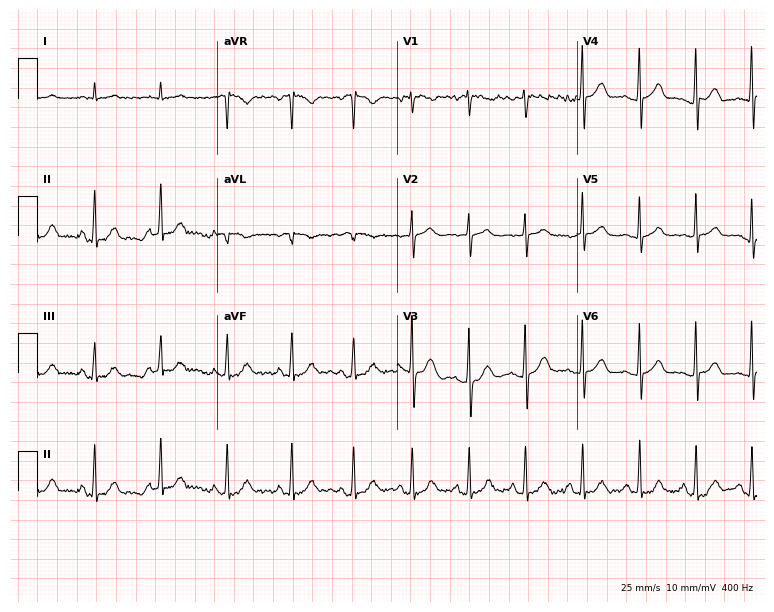
Standard 12-lead ECG recorded from a male, 43 years old (7.3-second recording at 400 Hz). The tracing shows sinus tachycardia (a sinus rate of 100 beats per minute or more).